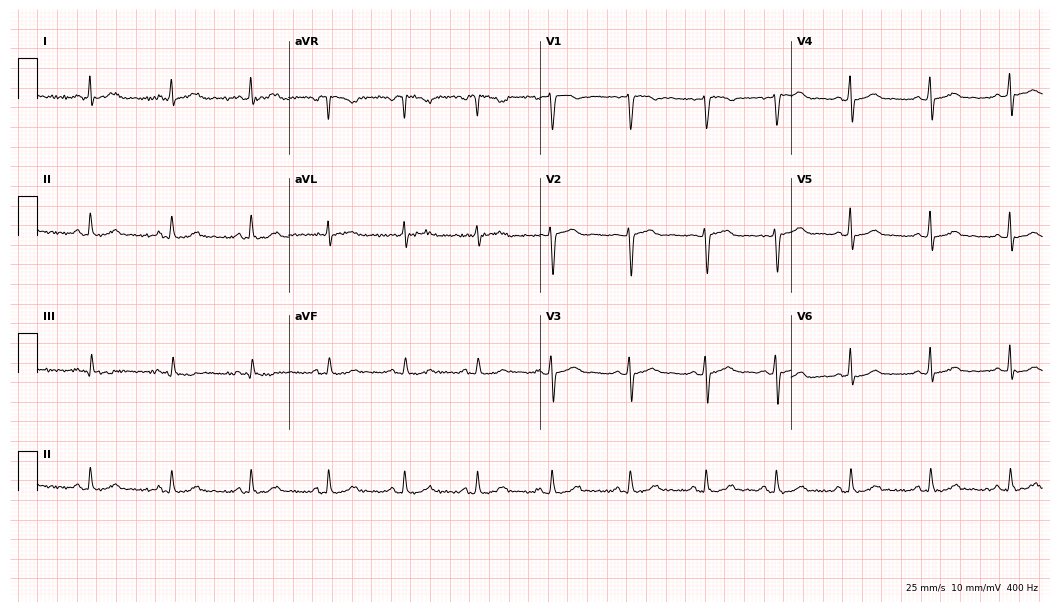
Resting 12-lead electrocardiogram. Patient: a female, 31 years old. Read as a normal ECG.